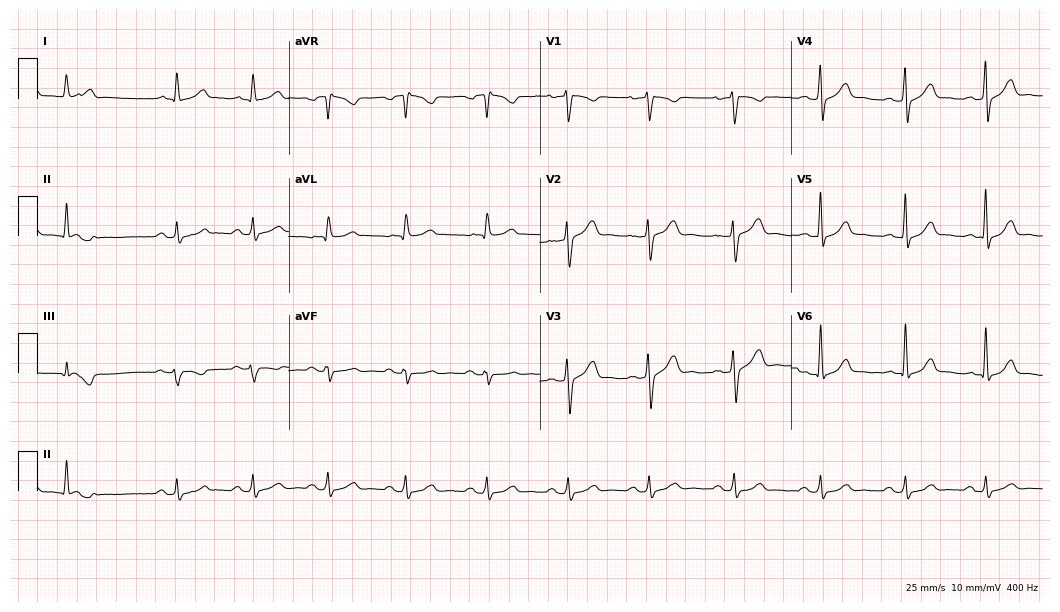
Standard 12-lead ECG recorded from a 40-year-old male. Read as a normal ECG.